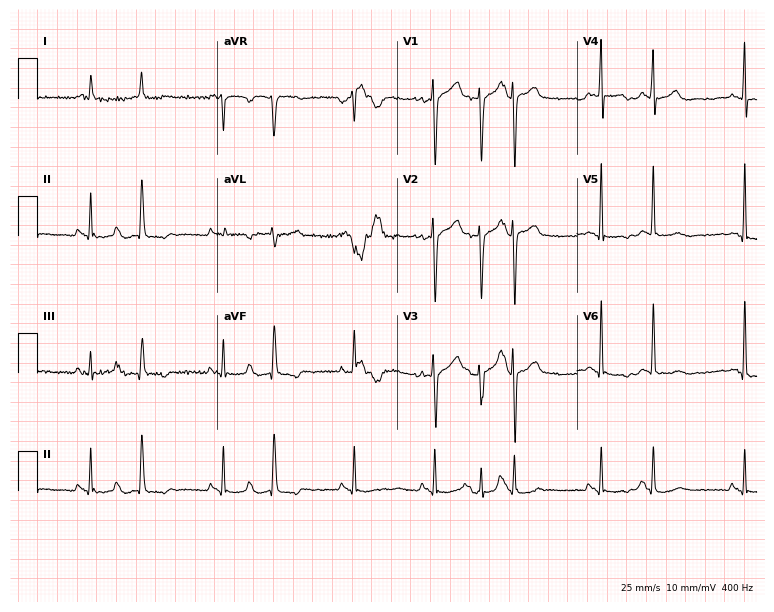
ECG — a male patient, 62 years old. Screened for six findings — first-degree AV block, right bundle branch block, left bundle branch block, sinus bradycardia, atrial fibrillation, sinus tachycardia — none is recorded. Findings outside these six are not listed.